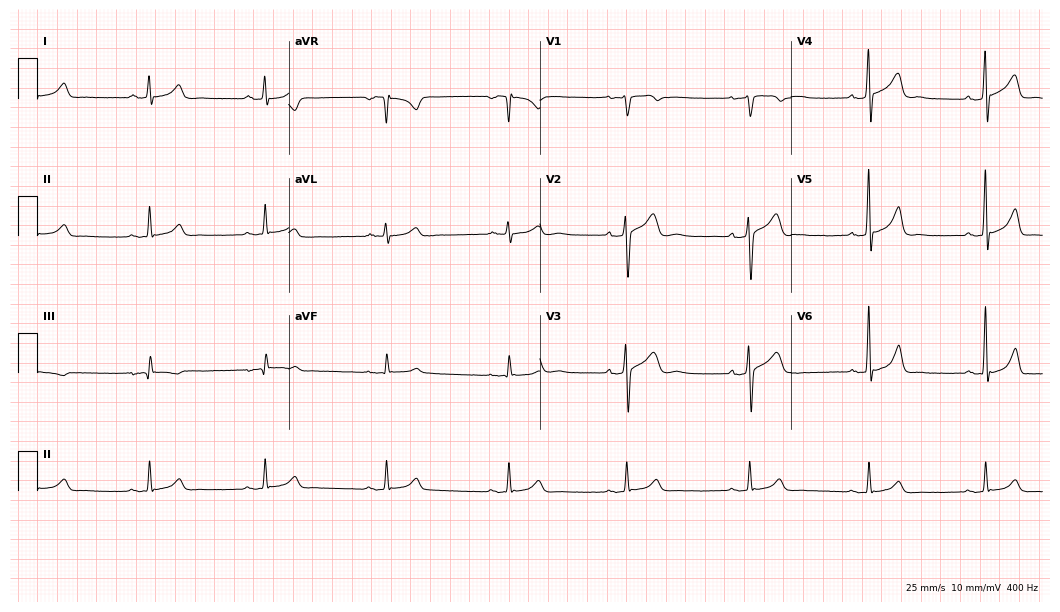
12-lead ECG (10.2-second recording at 400 Hz) from a male patient, 33 years old. Screened for six findings — first-degree AV block, right bundle branch block, left bundle branch block, sinus bradycardia, atrial fibrillation, sinus tachycardia — none is recorded.